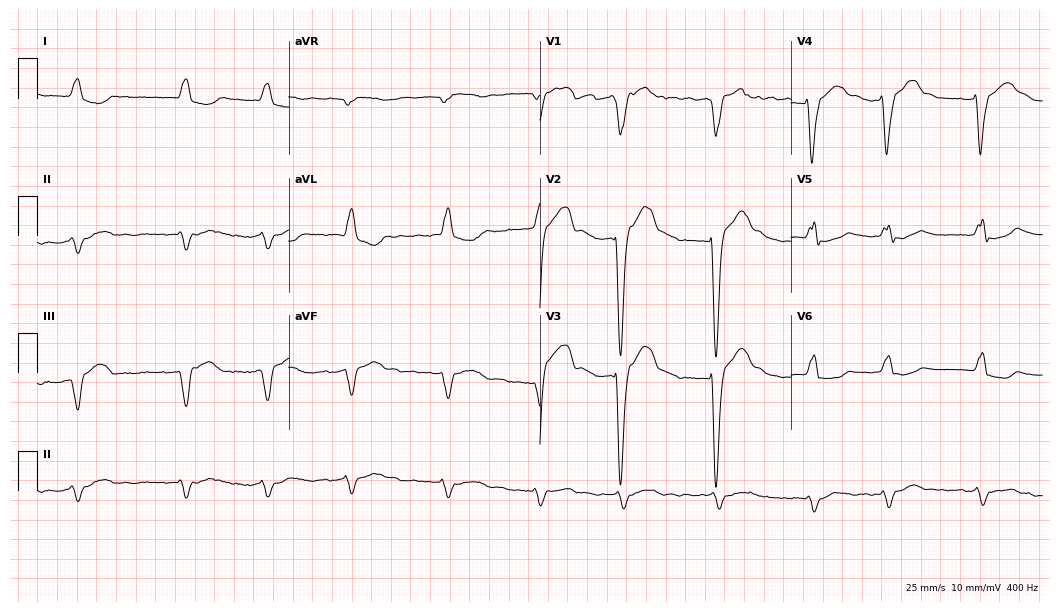
12-lead ECG from an 80-year-old female patient (10.2-second recording at 400 Hz). Shows left bundle branch block (LBBB), atrial fibrillation (AF).